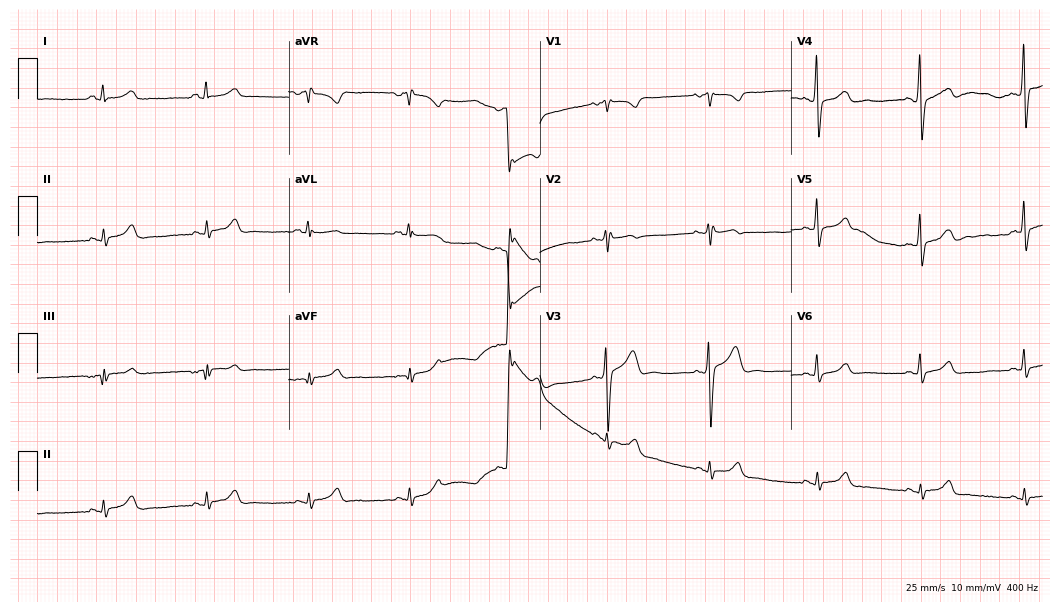
12-lead ECG from a 28-year-old male patient (10.2-second recording at 400 Hz). Recorded interpretation: within normal limits.